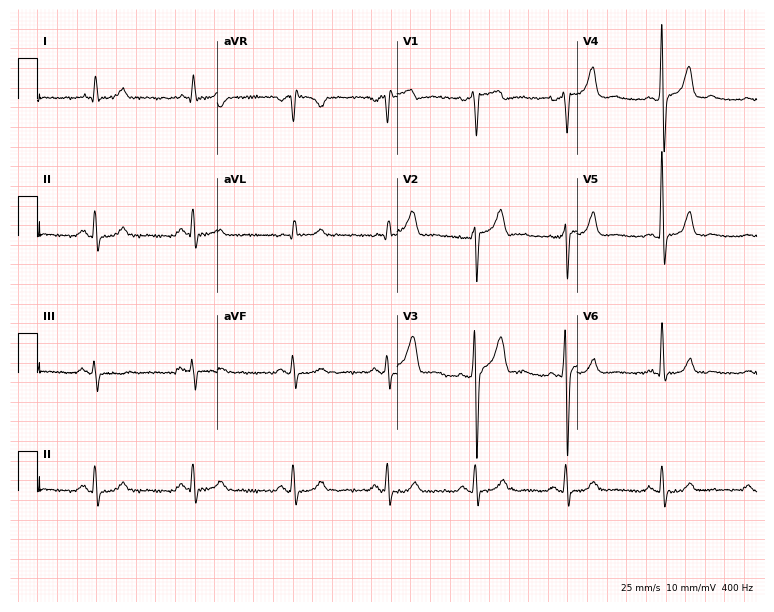
12-lead ECG (7.3-second recording at 400 Hz) from a male patient, 63 years old. Labelled as a normal ECG.